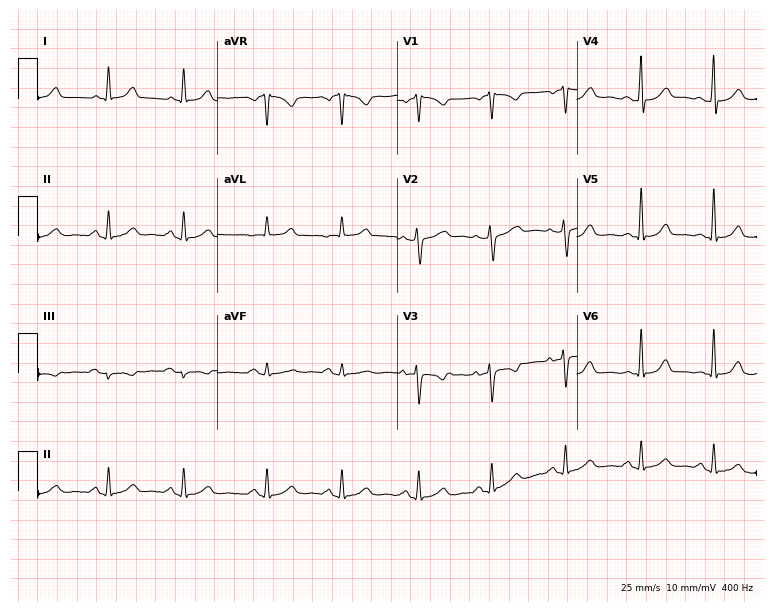
Standard 12-lead ECG recorded from a 37-year-old woman (7.3-second recording at 400 Hz). None of these six findings is recorded: first-degree AV block, right bundle branch block (RBBB), left bundle branch block (LBBB), sinus bradycardia, atrial fibrillation (AF), sinus tachycardia. Only these six findings were labelled.